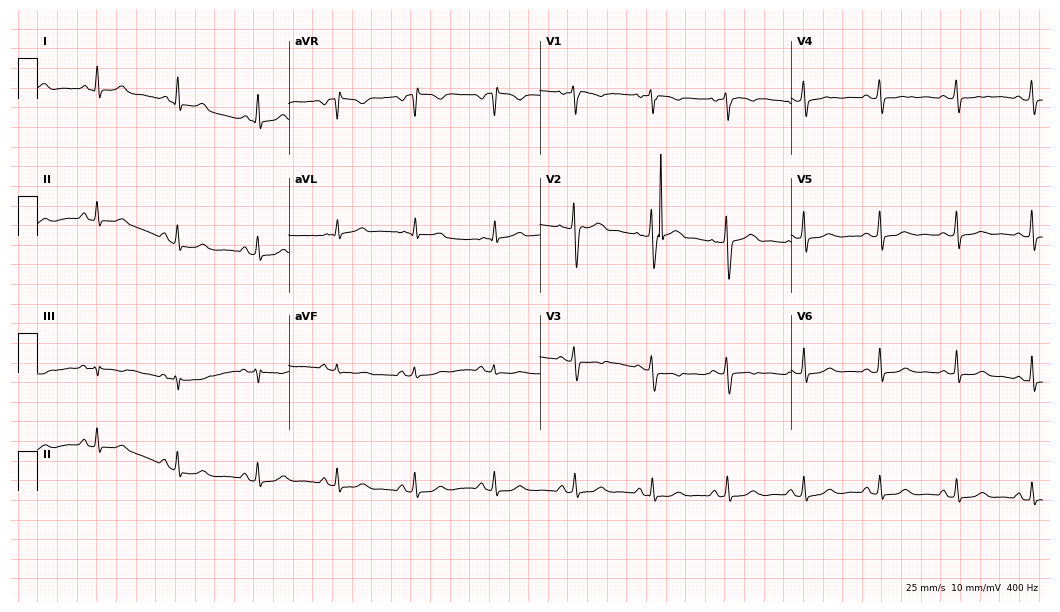
ECG — a woman, 52 years old. Labelled as a normal ECG.